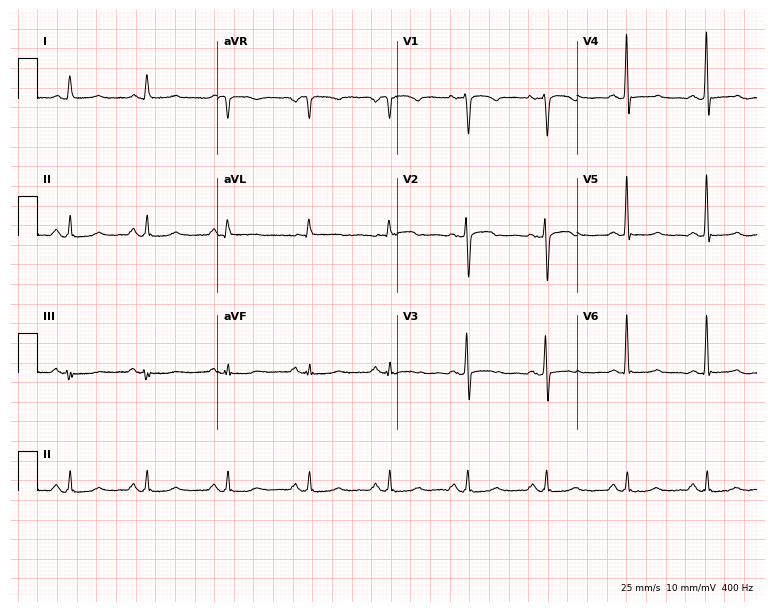
Resting 12-lead electrocardiogram. Patient: a female, 60 years old. None of these six findings is recorded: first-degree AV block, right bundle branch block, left bundle branch block, sinus bradycardia, atrial fibrillation, sinus tachycardia.